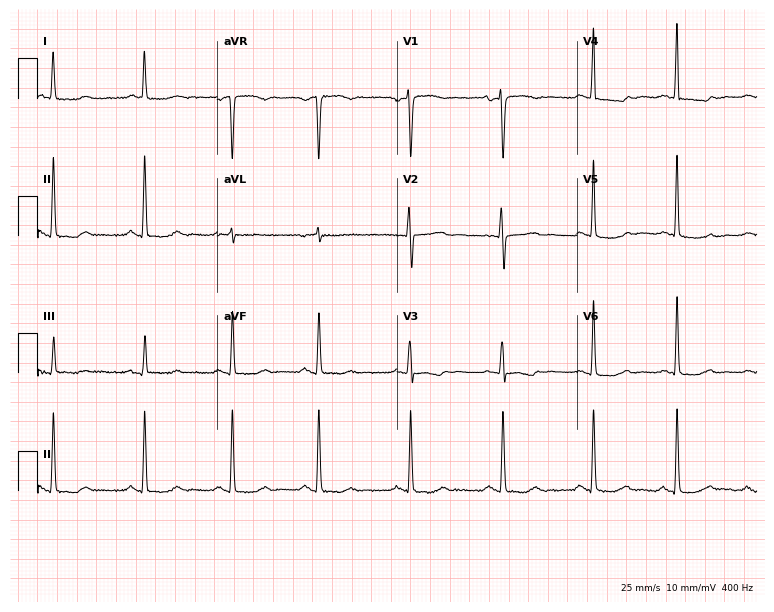
Resting 12-lead electrocardiogram (7.3-second recording at 400 Hz). Patient: a 56-year-old woman. None of these six findings is recorded: first-degree AV block, right bundle branch block (RBBB), left bundle branch block (LBBB), sinus bradycardia, atrial fibrillation (AF), sinus tachycardia.